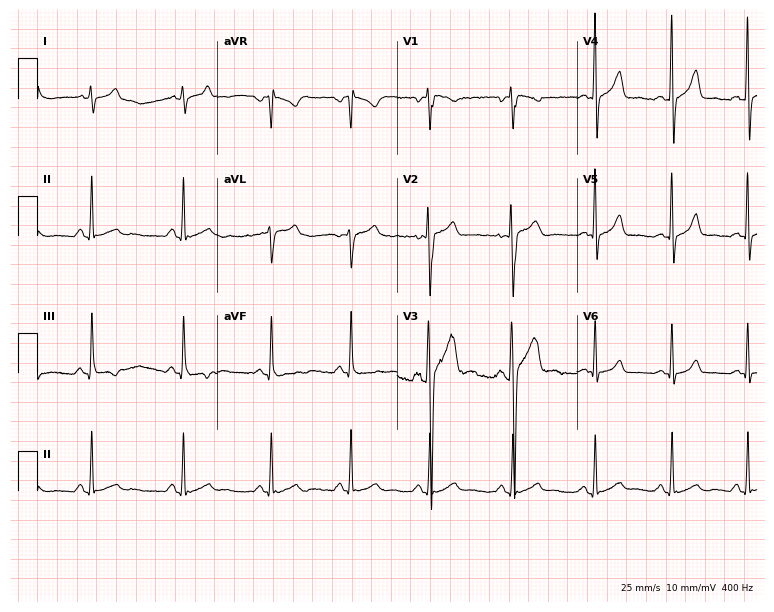
12-lead ECG (7.3-second recording at 400 Hz) from a man, 17 years old. Labelled as a normal ECG.